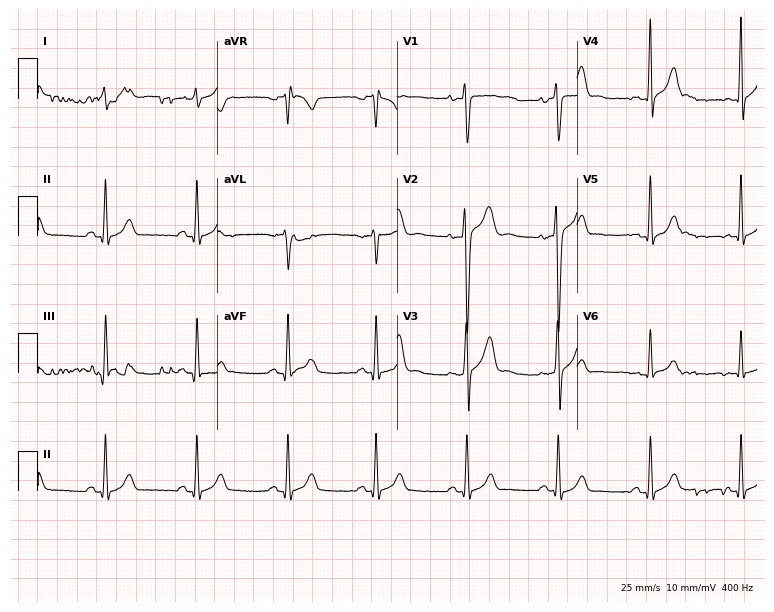
Electrocardiogram, a 26-year-old male. Overall reading on record: normal ECG.